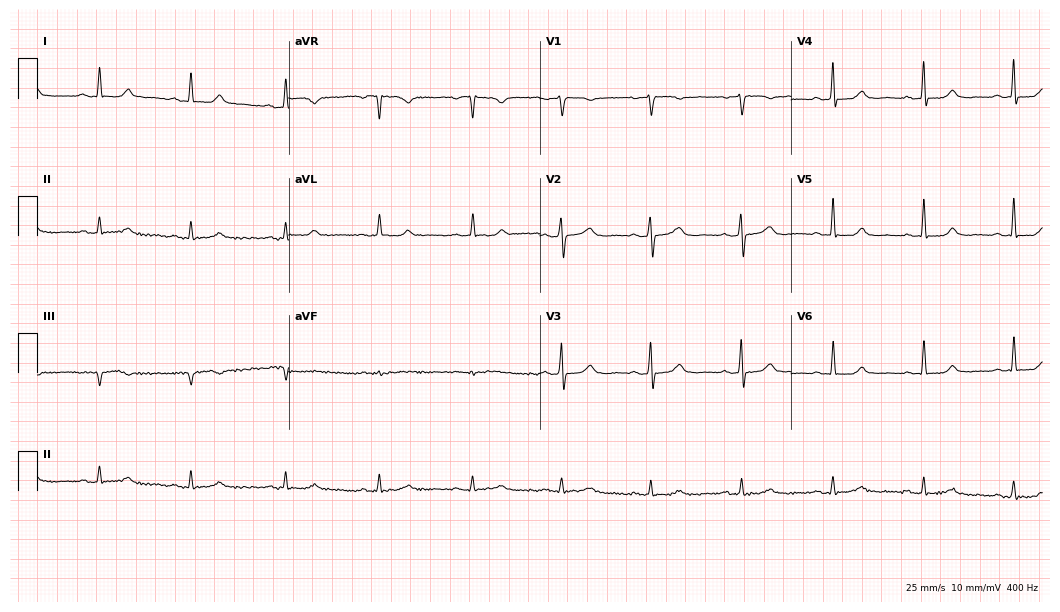
12-lead ECG from a female, 64 years old (10.2-second recording at 400 Hz). Recorded interpretation: within normal limits.